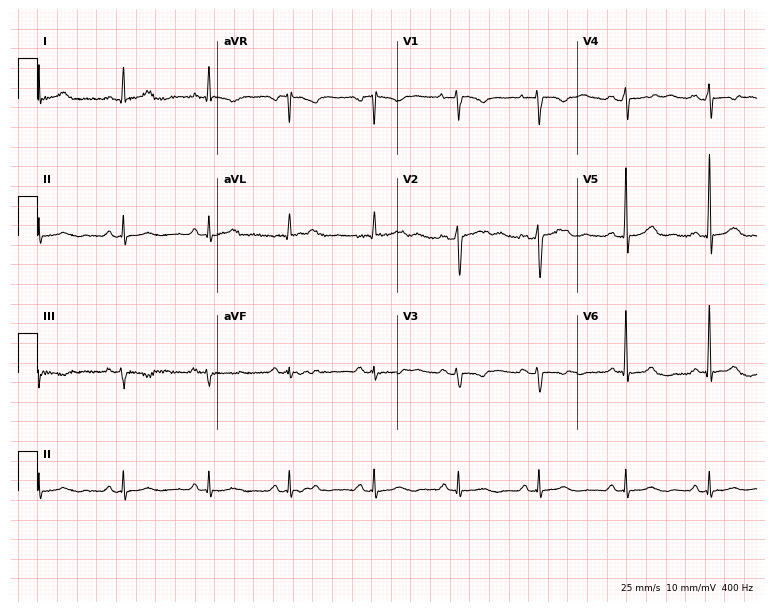
12-lead ECG from a woman, 33 years old. Screened for six findings — first-degree AV block, right bundle branch block (RBBB), left bundle branch block (LBBB), sinus bradycardia, atrial fibrillation (AF), sinus tachycardia — none is recorded. Only these six findings were labelled.